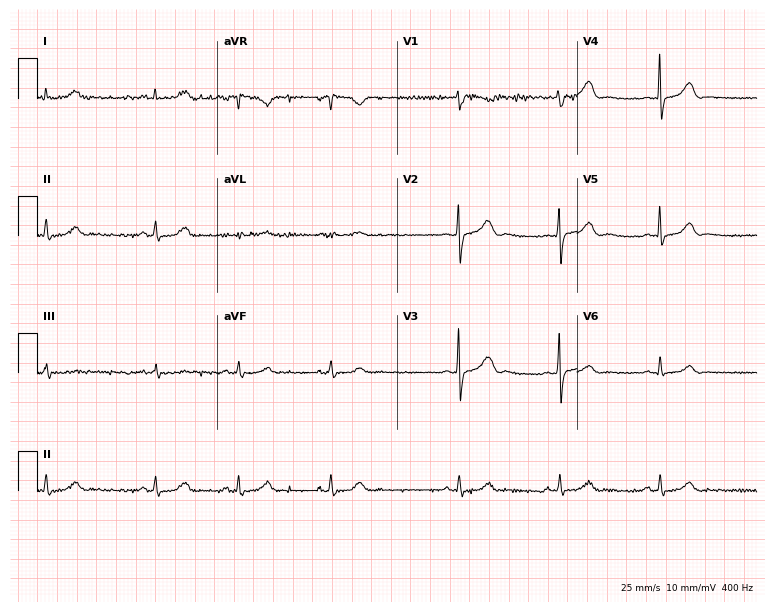
12-lead ECG from a 32-year-old woman. No first-degree AV block, right bundle branch block (RBBB), left bundle branch block (LBBB), sinus bradycardia, atrial fibrillation (AF) or sinus tachycardia recorded for this tracing.